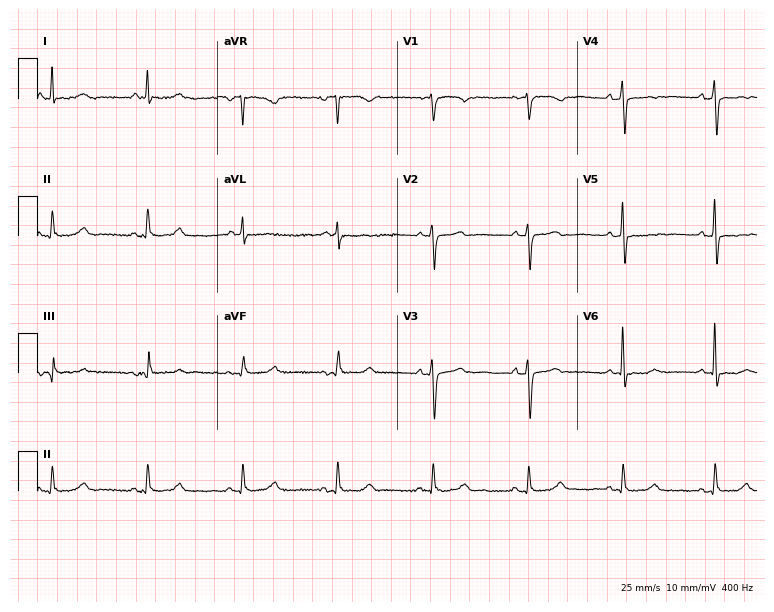
Resting 12-lead electrocardiogram (7.3-second recording at 400 Hz). Patient: a female, 52 years old. None of these six findings is recorded: first-degree AV block, right bundle branch block, left bundle branch block, sinus bradycardia, atrial fibrillation, sinus tachycardia. Only these six findings were labelled.